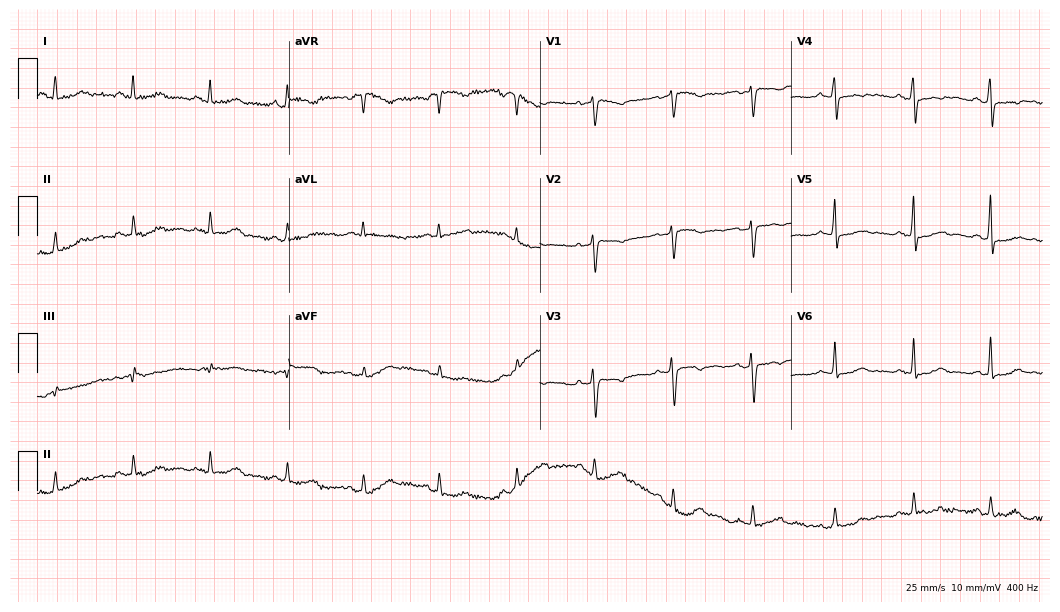
12-lead ECG from a female patient, 45 years old. Screened for six findings — first-degree AV block, right bundle branch block (RBBB), left bundle branch block (LBBB), sinus bradycardia, atrial fibrillation (AF), sinus tachycardia — none is recorded. Findings outside these six are not listed.